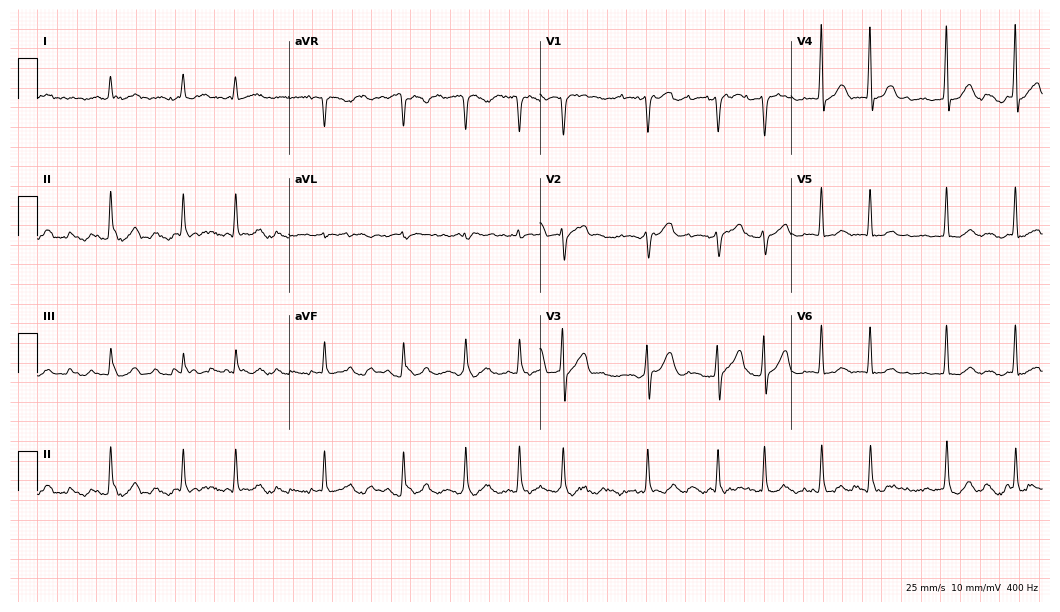
Electrocardiogram (10.2-second recording at 400 Hz), a man, 73 years old. Of the six screened findings (first-degree AV block, right bundle branch block, left bundle branch block, sinus bradycardia, atrial fibrillation, sinus tachycardia), none is recorded. Findings outside these six are not listed.